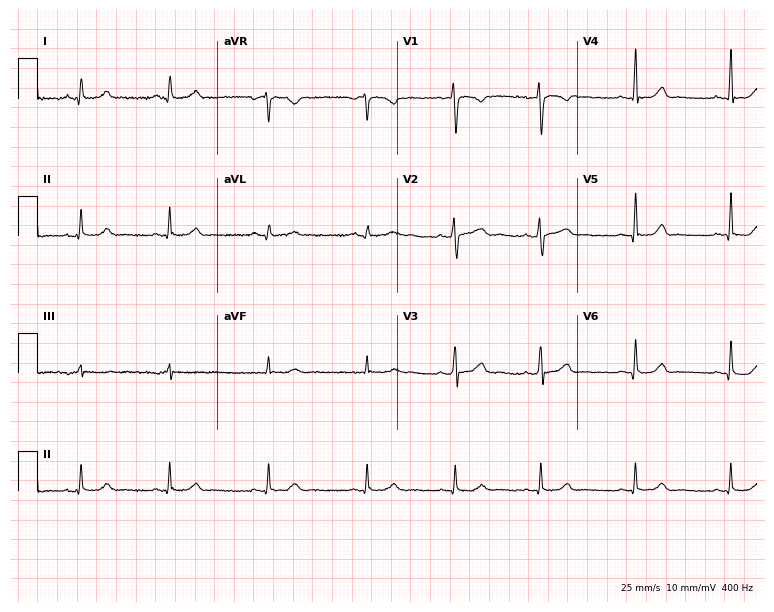
Resting 12-lead electrocardiogram. Patient: a 28-year-old female. None of these six findings is recorded: first-degree AV block, right bundle branch block, left bundle branch block, sinus bradycardia, atrial fibrillation, sinus tachycardia.